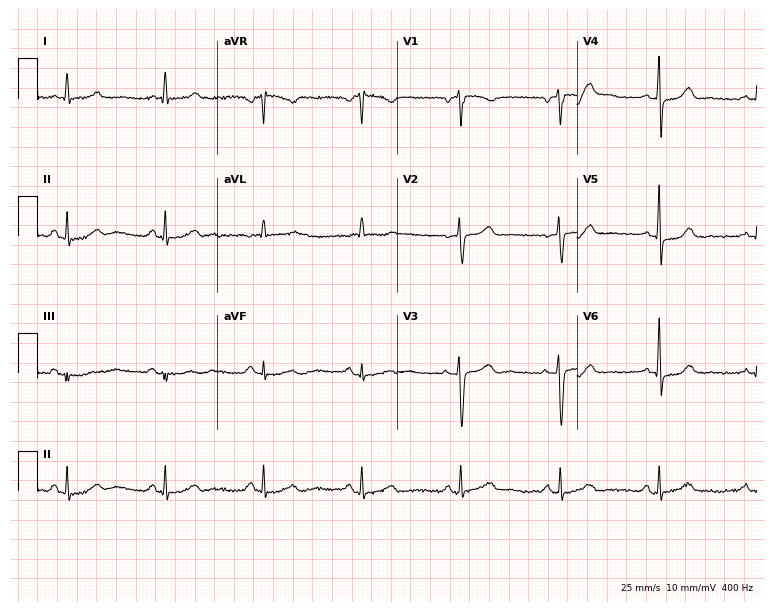
12-lead ECG (7.3-second recording at 400 Hz) from a male patient, 64 years old. Labelled as a normal ECG.